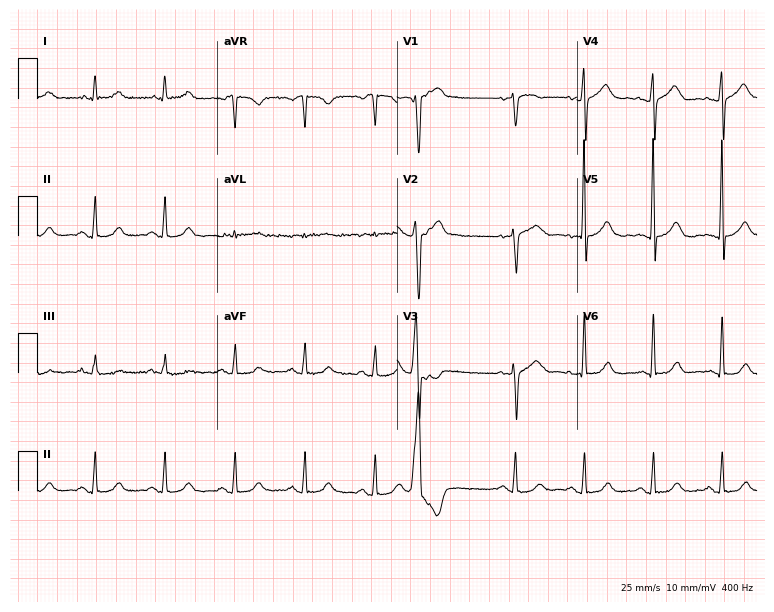
Electrocardiogram (7.3-second recording at 400 Hz), a 79-year-old man. Of the six screened findings (first-degree AV block, right bundle branch block, left bundle branch block, sinus bradycardia, atrial fibrillation, sinus tachycardia), none is recorded. Findings outside these six are not listed.